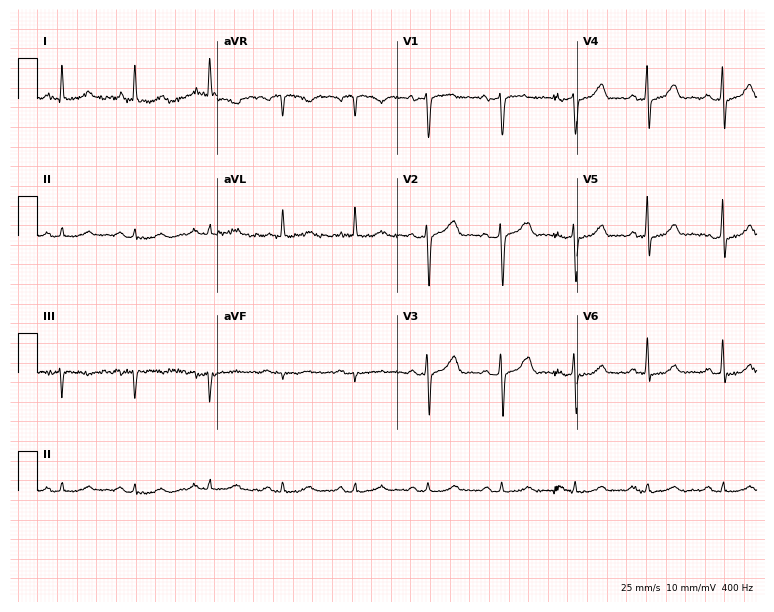
Electrocardiogram, a female patient, 76 years old. Overall reading on record: normal ECG.